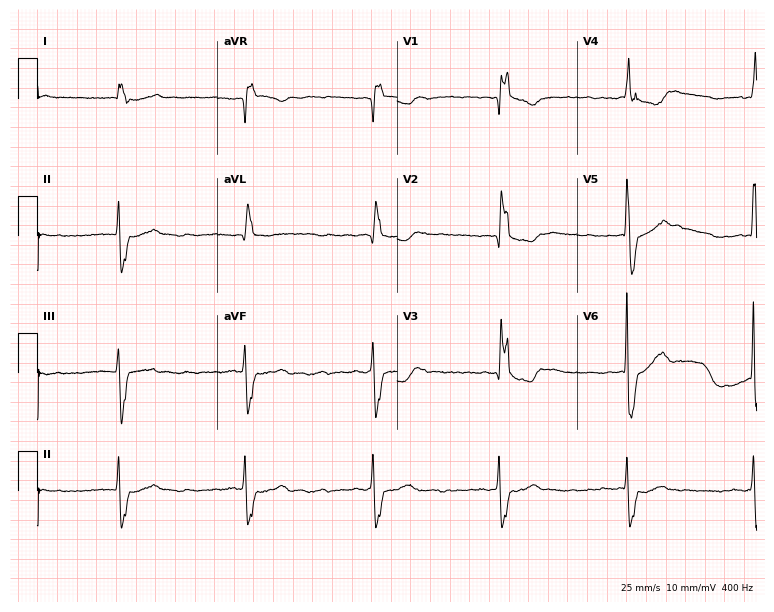
ECG (7.3-second recording at 400 Hz) — a female, 75 years old. Findings include right bundle branch block.